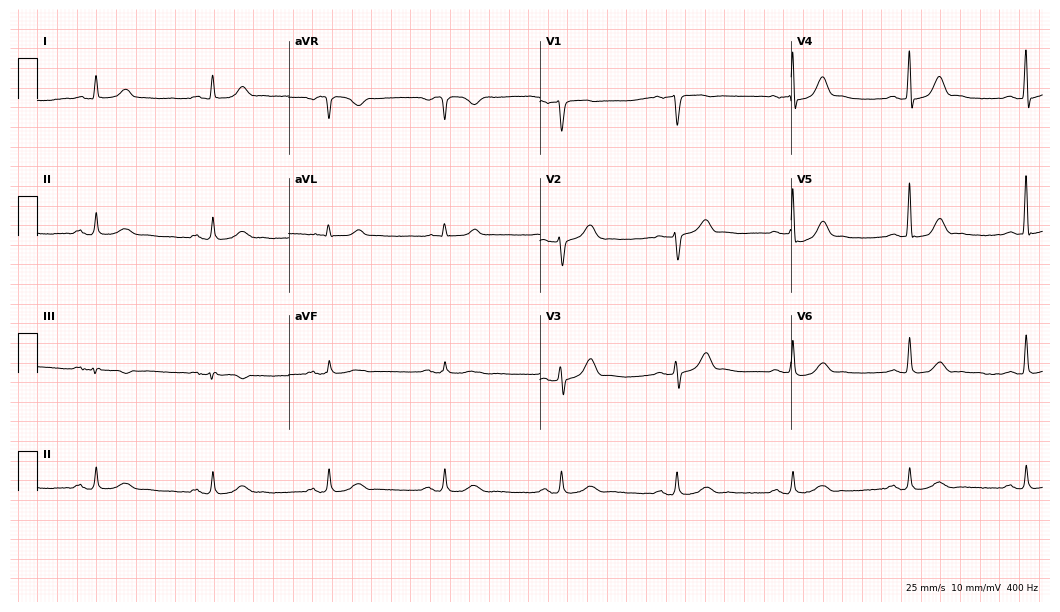
Electrocardiogram (10.2-second recording at 400 Hz), a 68-year-old male. Overall reading on record: normal ECG.